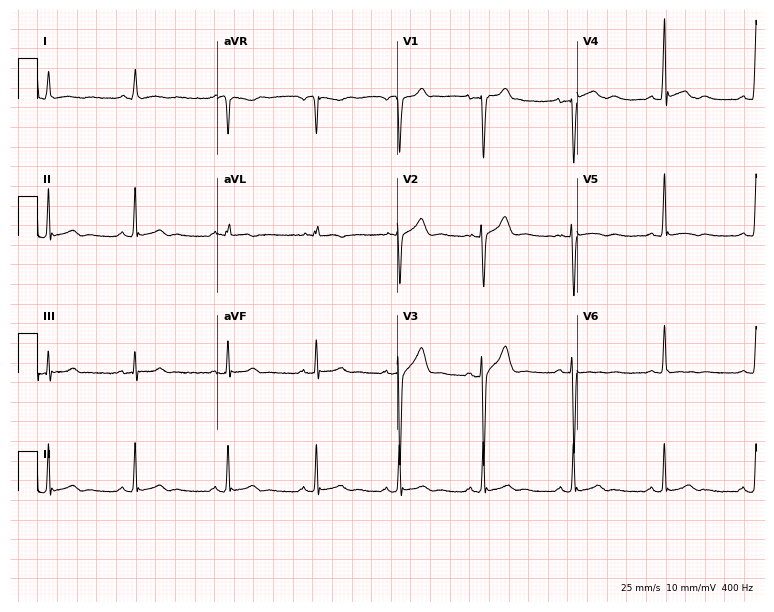
Resting 12-lead electrocardiogram. Patient: a 19-year-old man. Read as a normal ECG.